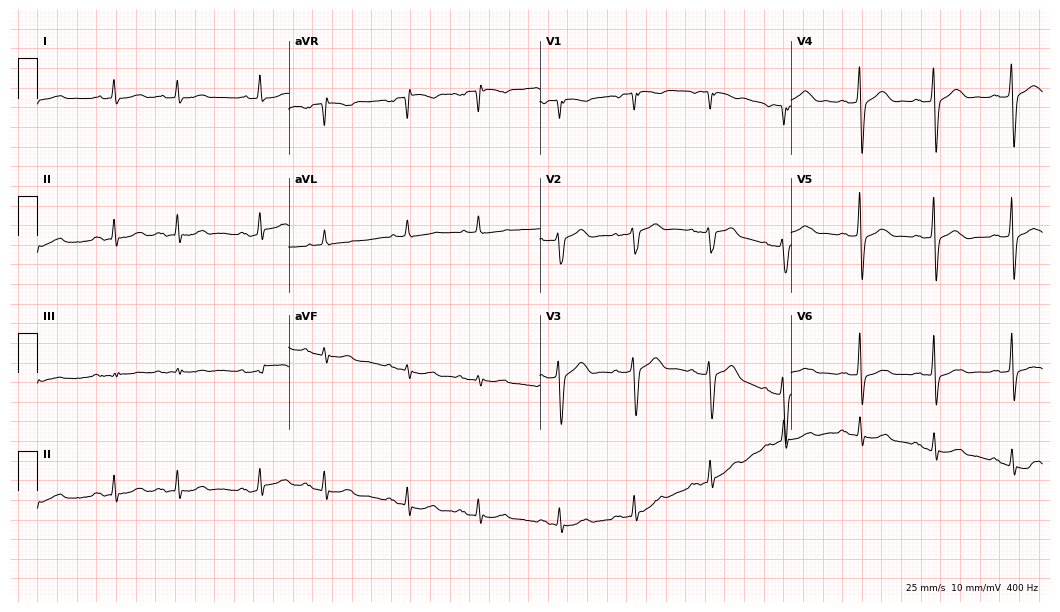
12-lead ECG from a male patient, 79 years old (10.2-second recording at 400 Hz). Recorded interpretation: within normal limits.